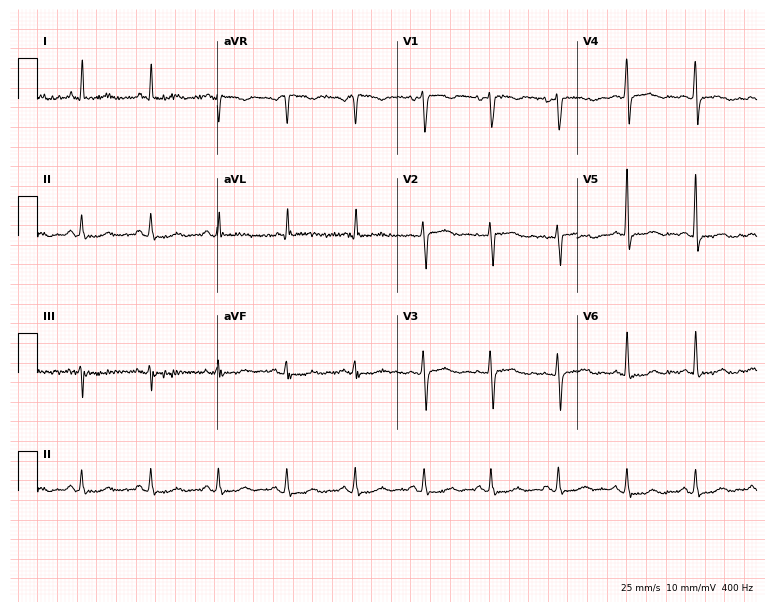
Electrocardiogram, a female, 51 years old. Of the six screened findings (first-degree AV block, right bundle branch block, left bundle branch block, sinus bradycardia, atrial fibrillation, sinus tachycardia), none is recorded. Only these six findings were labelled.